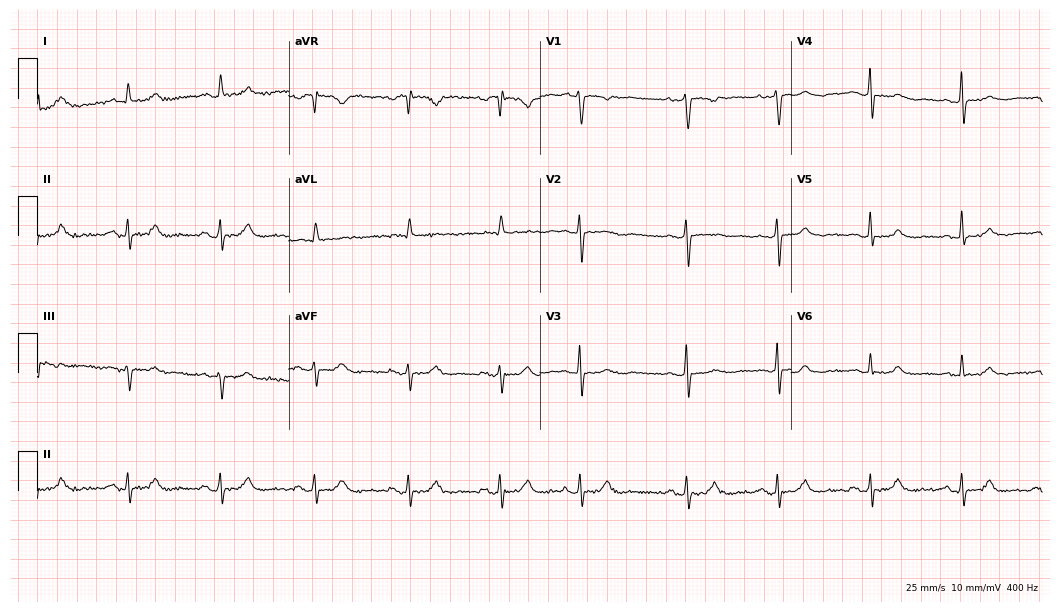
12-lead ECG (10.2-second recording at 400 Hz) from a woman, 80 years old. Labelled as a normal ECG.